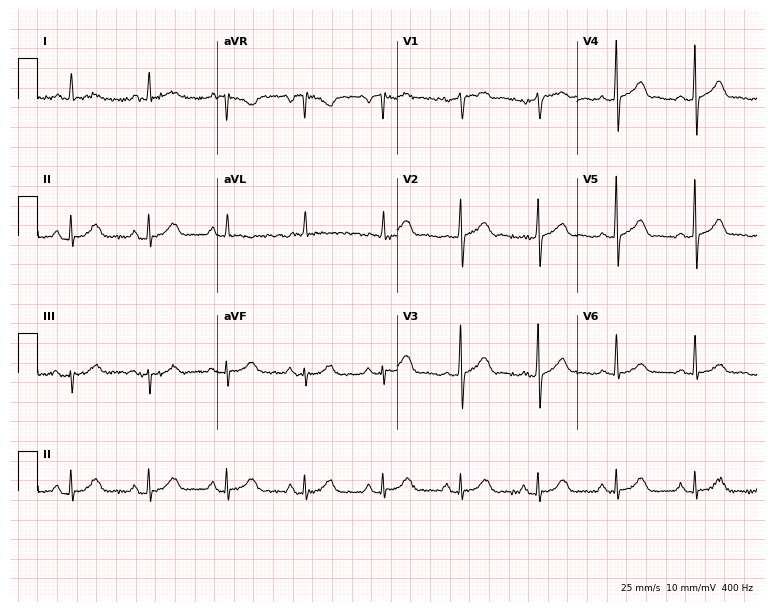
12-lead ECG (7.3-second recording at 400 Hz) from a female patient, 71 years old. Labelled as a normal ECG.